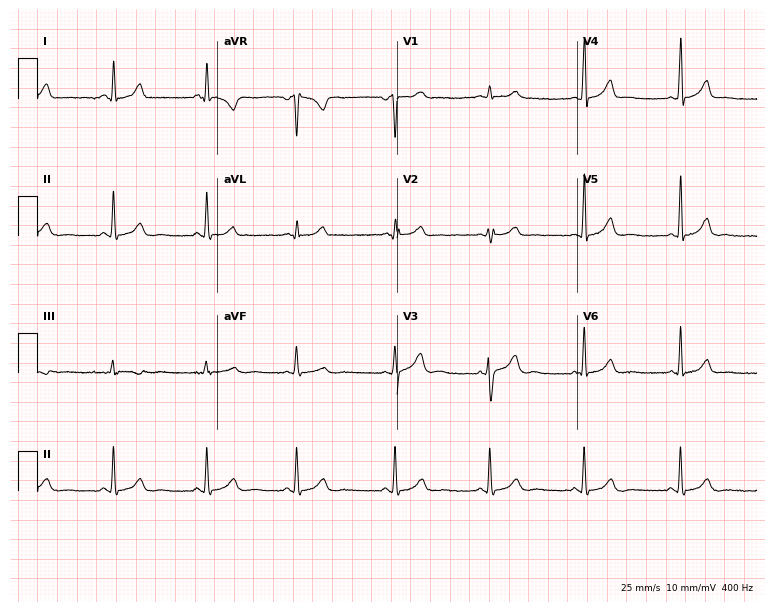
ECG — a female, 21 years old. Labelled as a normal ECG.